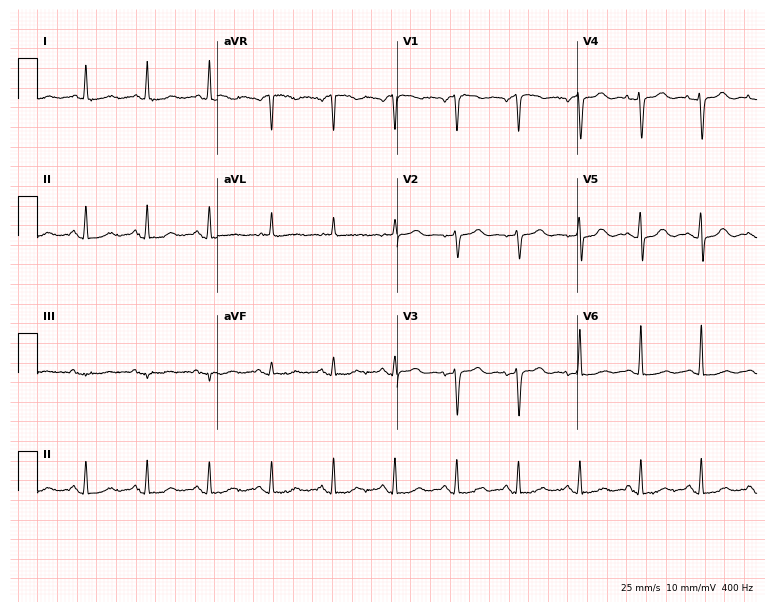
Resting 12-lead electrocardiogram (7.3-second recording at 400 Hz). Patient: a female, 67 years old. None of these six findings is recorded: first-degree AV block, right bundle branch block, left bundle branch block, sinus bradycardia, atrial fibrillation, sinus tachycardia.